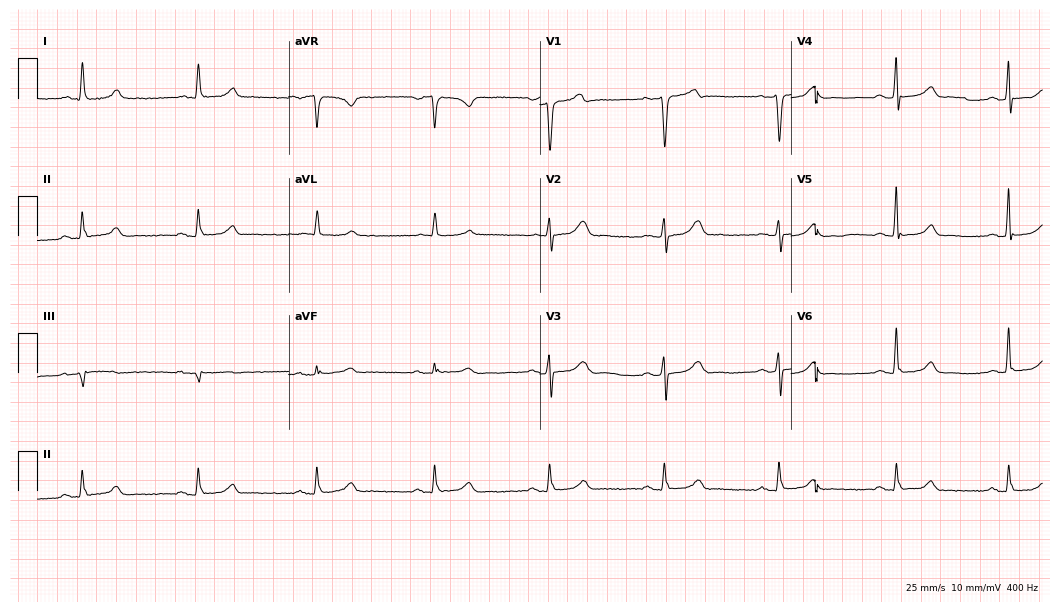
Standard 12-lead ECG recorded from a male, 72 years old. The tracing shows sinus bradycardia (a sinus rate of 50 beats per minute or less).